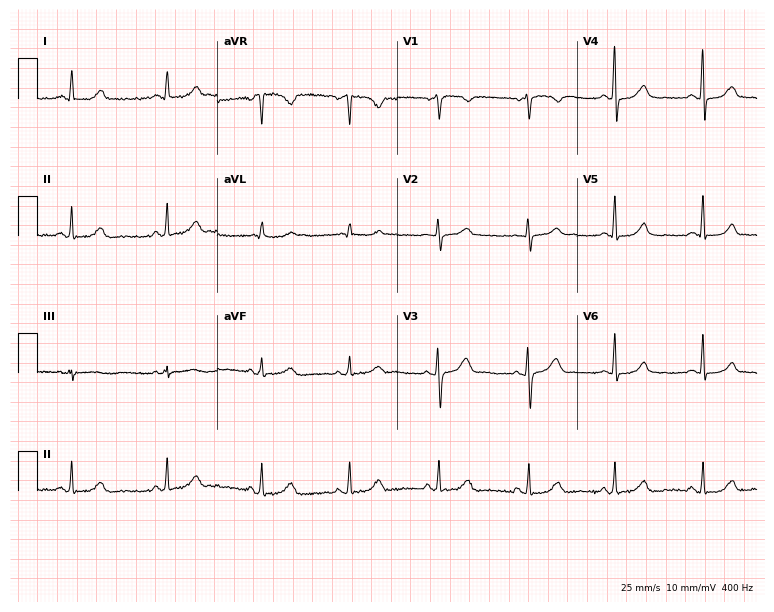
Resting 12-lead electrocardiogram (7.3-second recording at 400 Hz). Patient: a 46-year-old woman. Read as a normal ECG.